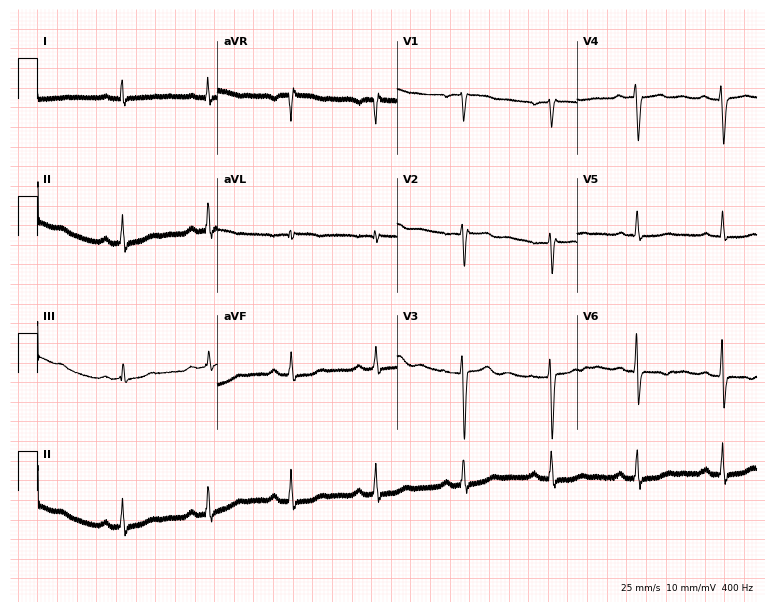
ECG (7.3-second recording at 400 Hz) — a 44-year-old woman. Screened for six findings — first-degree AV block, right bundle branch block, left bundle branch block, sinus bradycardia, atrial fibrillation, sinus tachycardia — none is recorded.